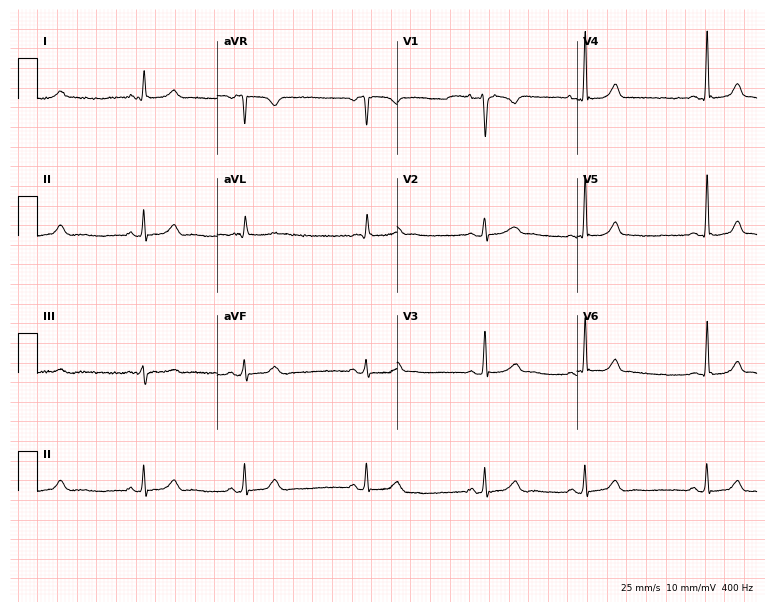
Standard 12-lead ECG recorded from a woman, 40 years old. None of these six findings is recorded: first-degree AV block, right bundle branch block, left bundle branch block, sinus bradycardia, atrial fibrillation, sinus tachycardia.